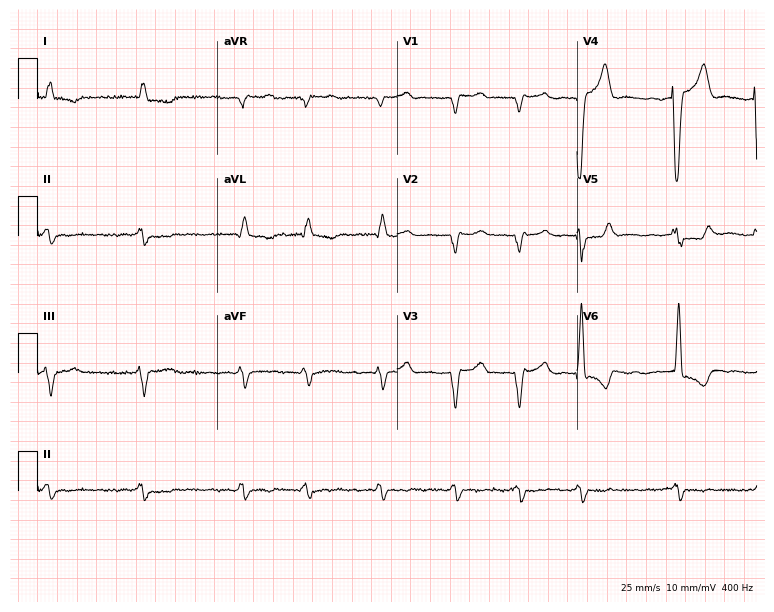
12-lead ECG from a man, 84 years old. Findings include left bundle branch block, atrial fibrillation.